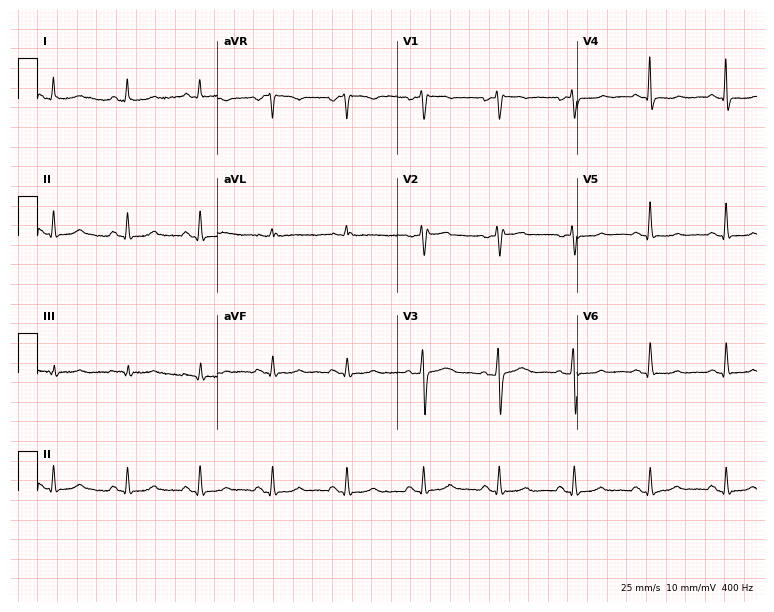
ECG — a female patient, 37 years old. Screened for six findings — first-degree AV block, right bundle branch block, left bundle branch block, sinus bradycardia, atrial fibrillation, sinus tachycardia — none is recorded.